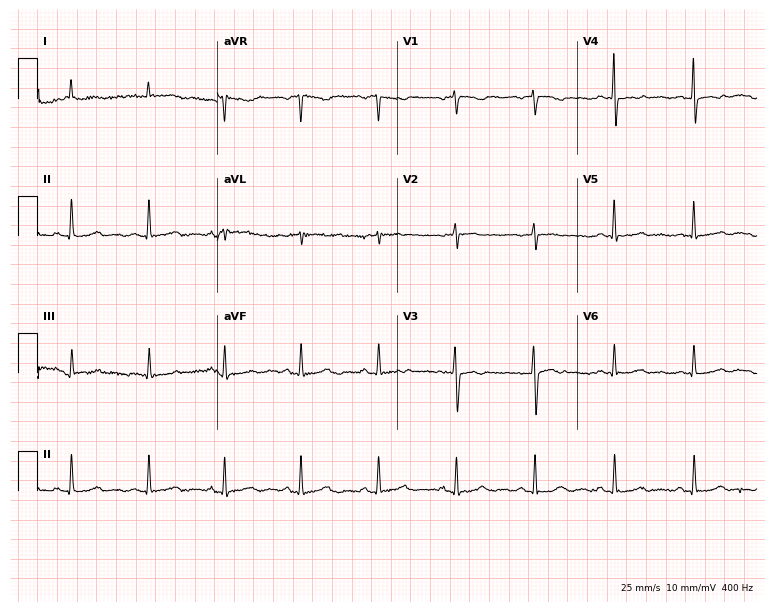
ECG (7.3-second recording at 400 Hz) — a 53-year-old male patient. Screened for six findings — first-degree AV block, right bundle branch block, left bundle branch block, sinus bradycardia, atrial fibrillation, sinus tachycardia — none is recorded. Findings outside these six are not listed.